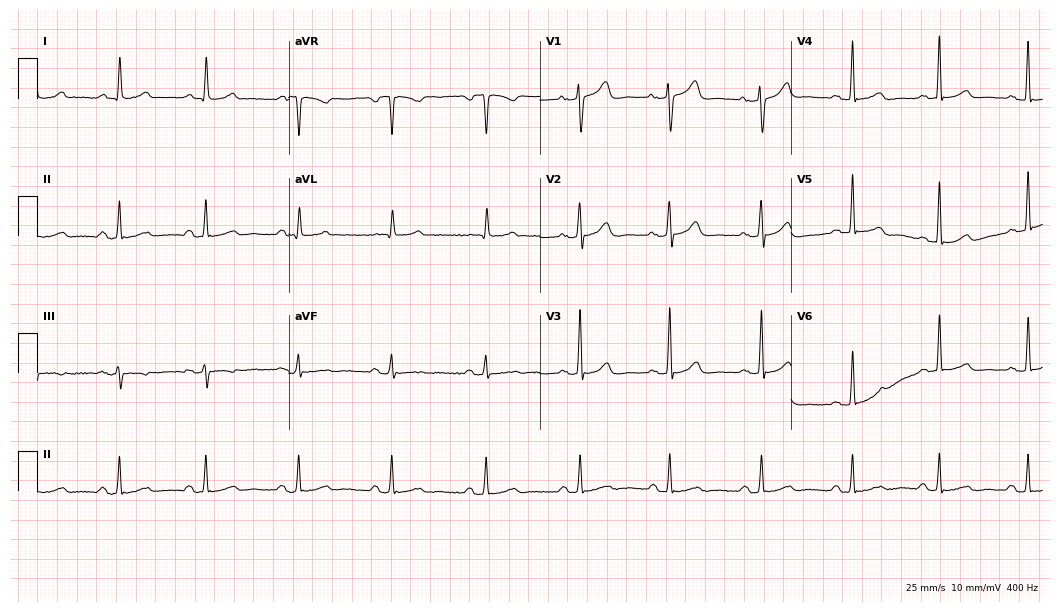
ECG (10.2-second recording at 400 Hz) — a 57-year-old woman. Screened for six findings — first-degree AV block, right bundle branch block, left bundle branch block, sinus bradycardia, atrial fibrillation, sinus tachycardia — none is recorded. Other findings, if any, are not listed.